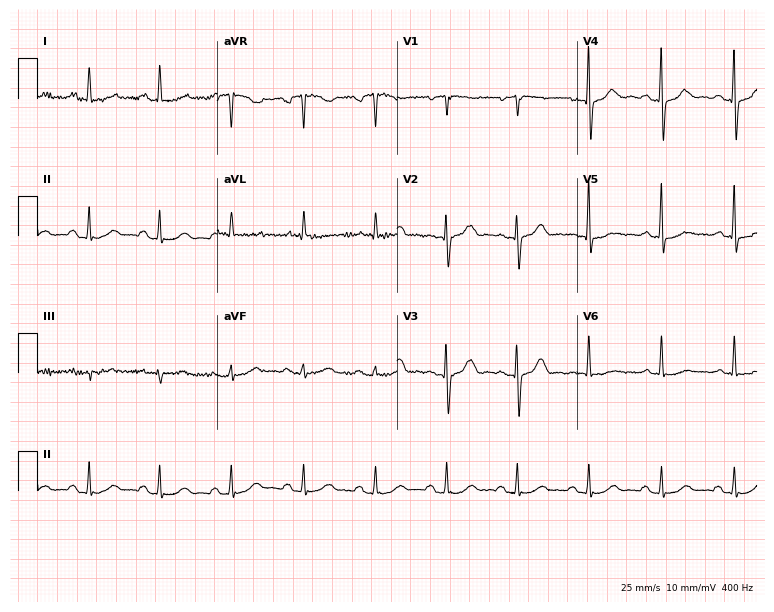
Resting 12-lead electrocardiogram. Patient: a female, 63 years old. Read as a normal ECG.